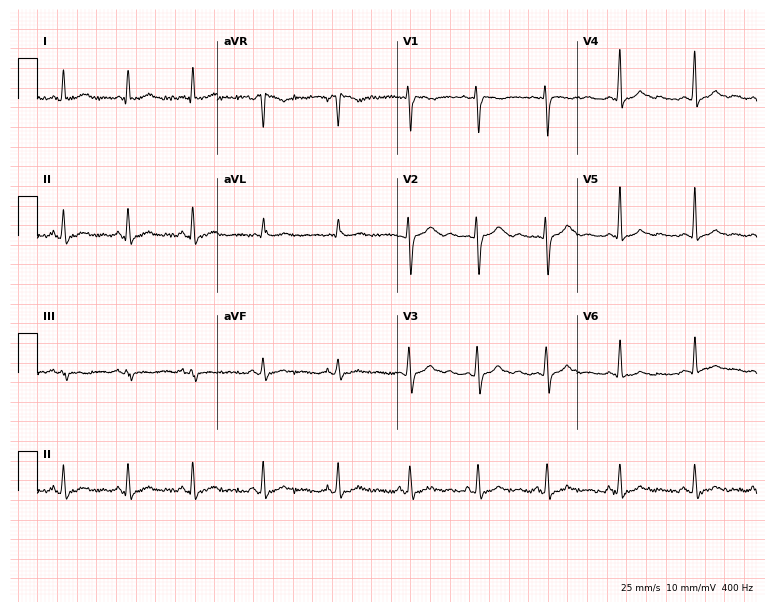
Standard 12-lead ECG recorded from a 25-year-old female. Read as a normal ECG.